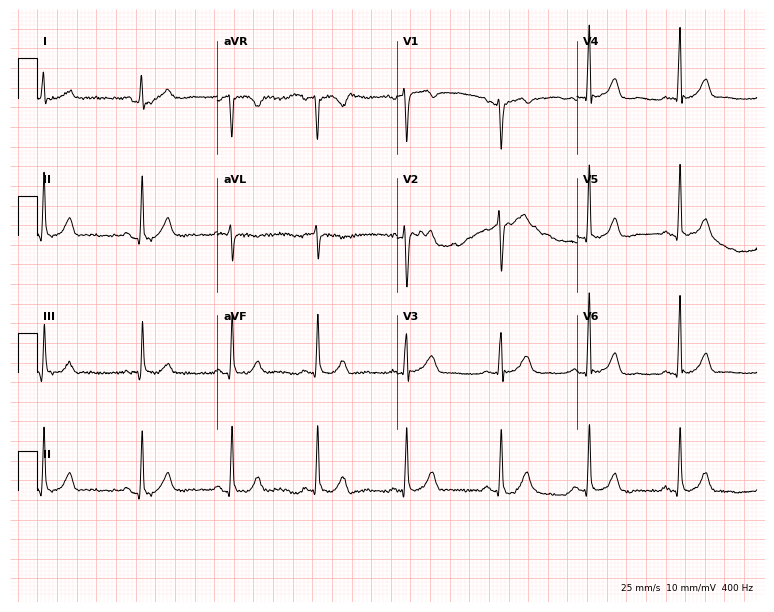
12-lead ECG from a 48-year-old woman (7.3-second recording at 400 Hz). Recorded interpretation: within normal limits.